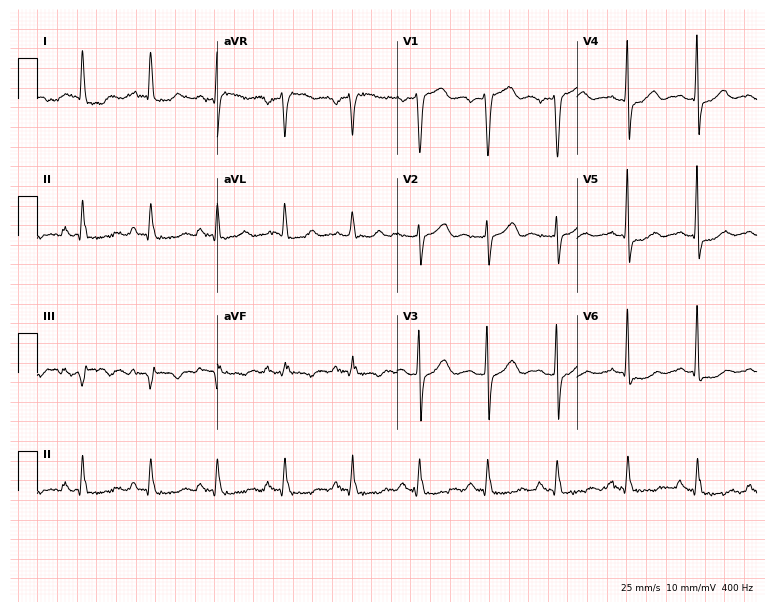
Resting 12-lead electrocardiogram. Patient: a 68-year-old male. None of these six findings is recorded: first-degree AV block, right bundle branch block, left bundle branch block, sinus bradycardia, atrial fibrillation, sinus tachycardia. Findings outside these six are not listed.